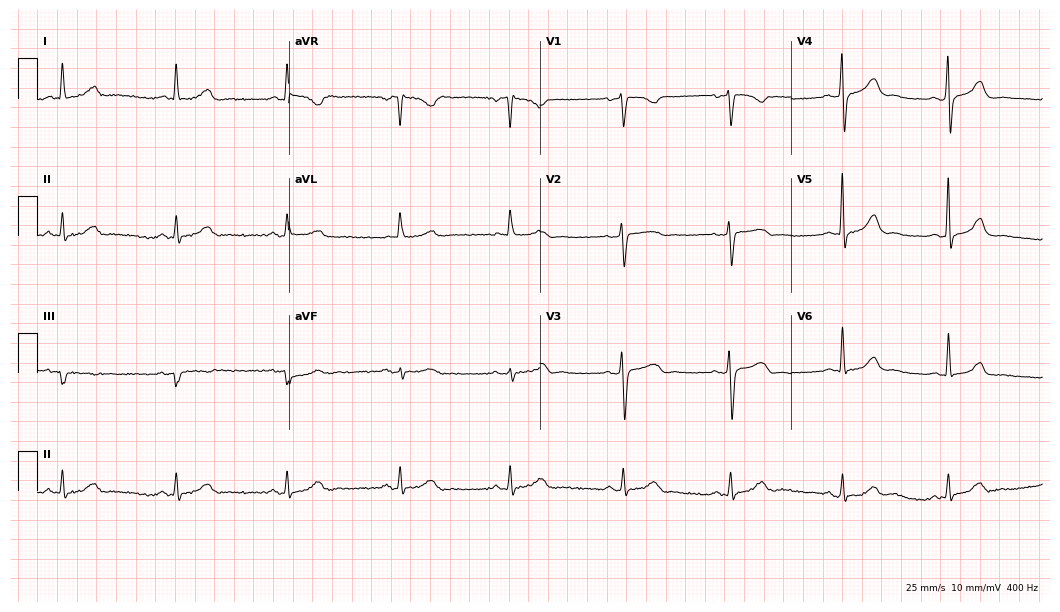
12-lead ECG from a male, 67 years old. No first-degree AV block, right bundle branch block, left bundle branch block, sinus bradycardia, atrial fibrillation or sinus tachycardia recorded for this tracing.